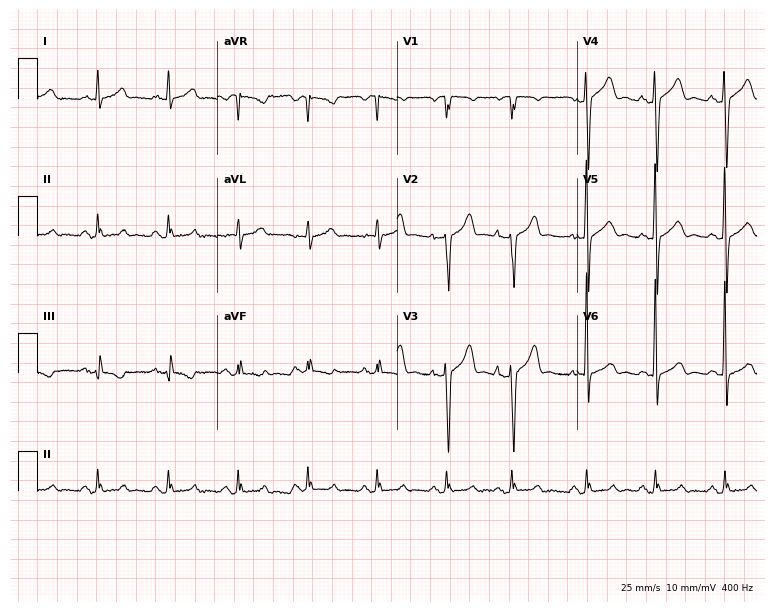
Electrocardiogram, a 75-year-old male patient. Of the six screened findings (first-degree AV block, right bundle branch block (RBBB), left bundle branch block (LBBB), sinus bradycardia, atrial fibrillation (AF), sinus tachycardia), none is recorded.